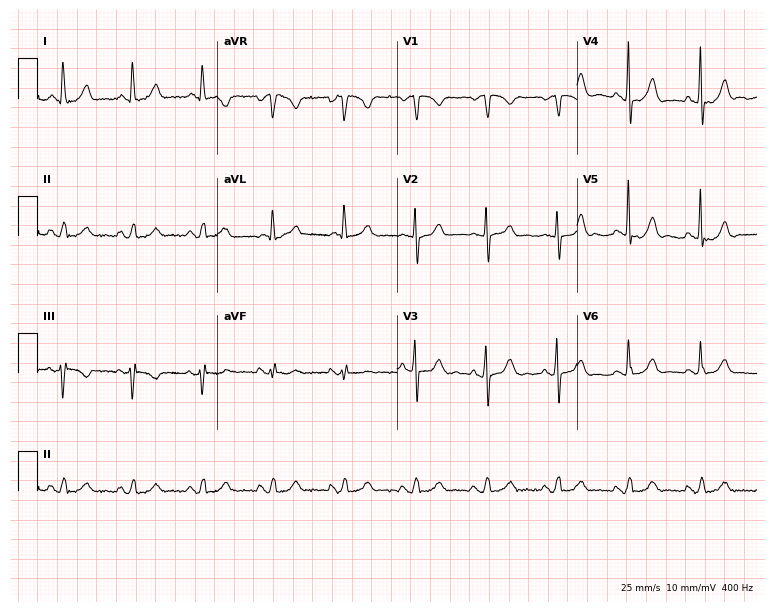
Electrocardiogram (7.3-second recording at 400 Hz), a 77-year-old female. Overall reading on record: normal ECG.